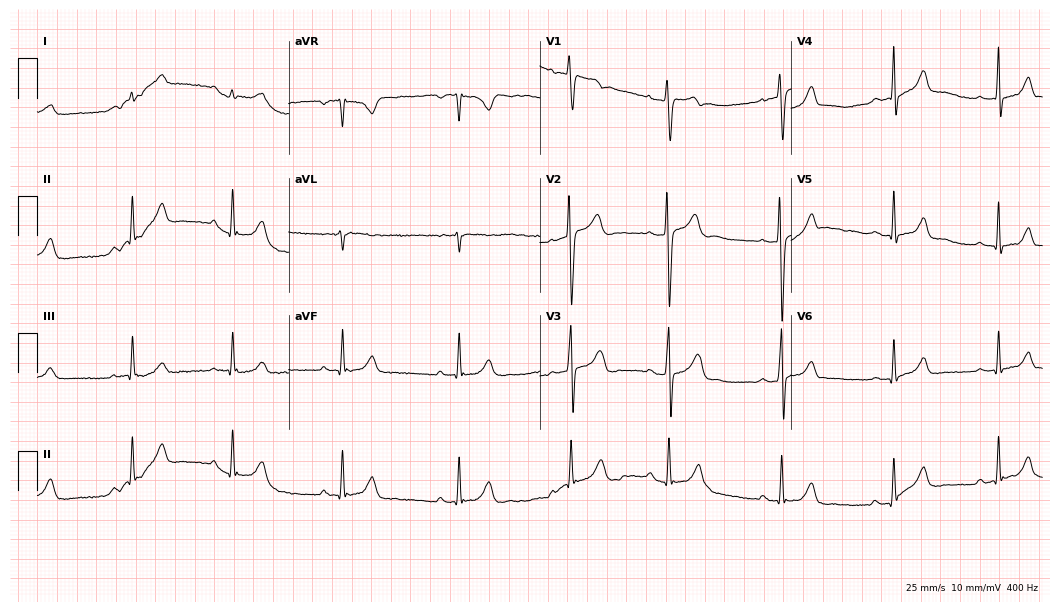
ECG — a male, 21 years old. Screened for six findings — first-degree AV block, right bundle branch block, left bundle branch block, sinus bradycardia, atrial fibrillation, sinus tachycardia — none is recorded.